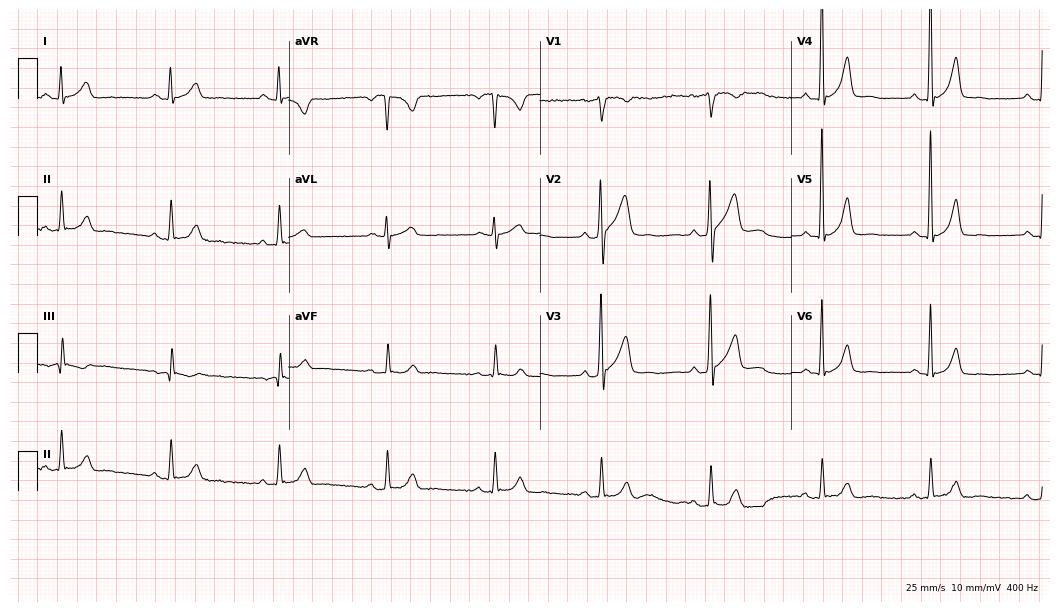
12-lead ECG from a man, 33 years old. Recorded interpretation: within normal limits.